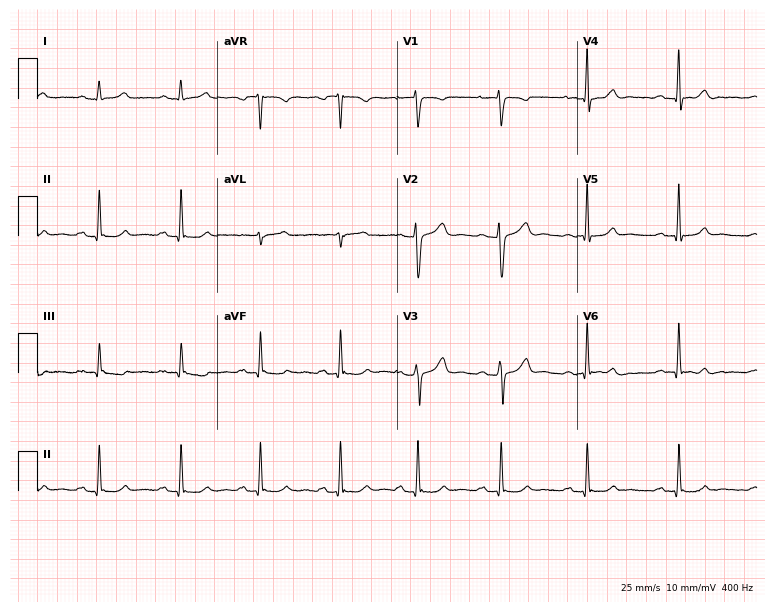
Standard 12-lead ECG recorded from a 30-year-old female patient (7.3-second recording at 400 Hz). Read as a normal ECG.